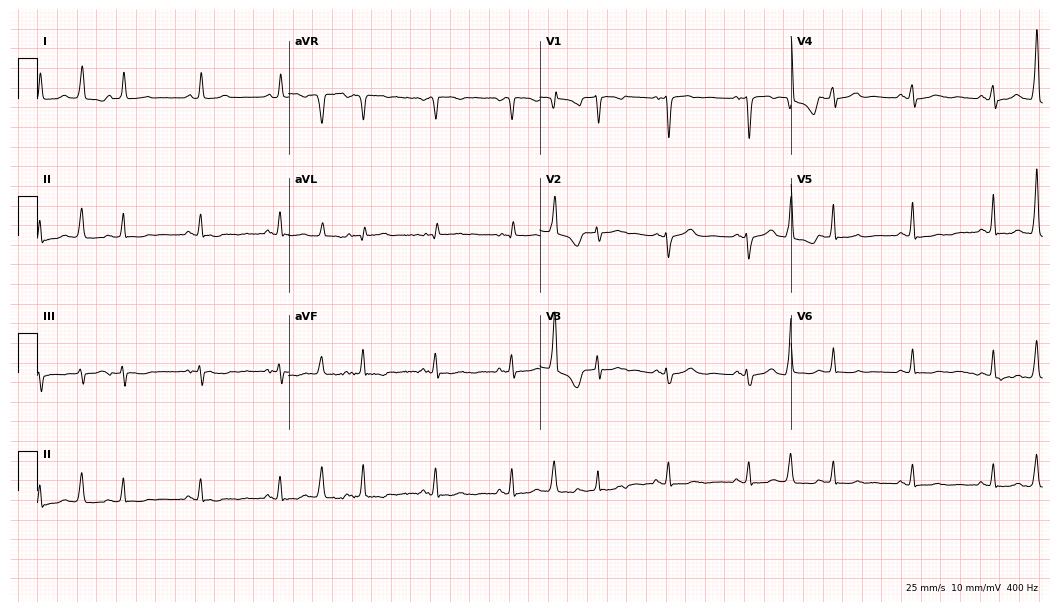
Standard 12-lead ECG recorded from a woman, 69 years old (10.2-second recording at 400 Hz). None of these six findings is recorded: first-degree AV block, right bundle branch block, left bundle branch block, sinus bradycardia, atrial fibrillation, sinus tachycardia.